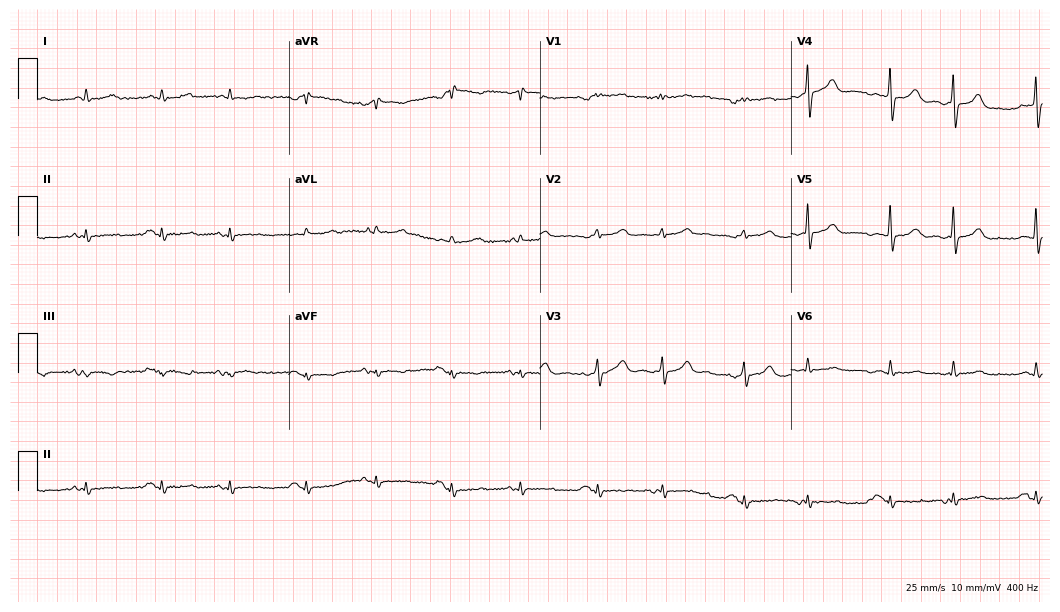
Electrocardiogram (10.2-second recording at 400 Hz), a 72-year-old male patient. Of the six screened findings (first-degree AV block, right bundle branch block, left bundle branch block, sinus bradycardia, atrial fibrillation, sinus tachycardia), none is recorded. Only these six findings were labelled.